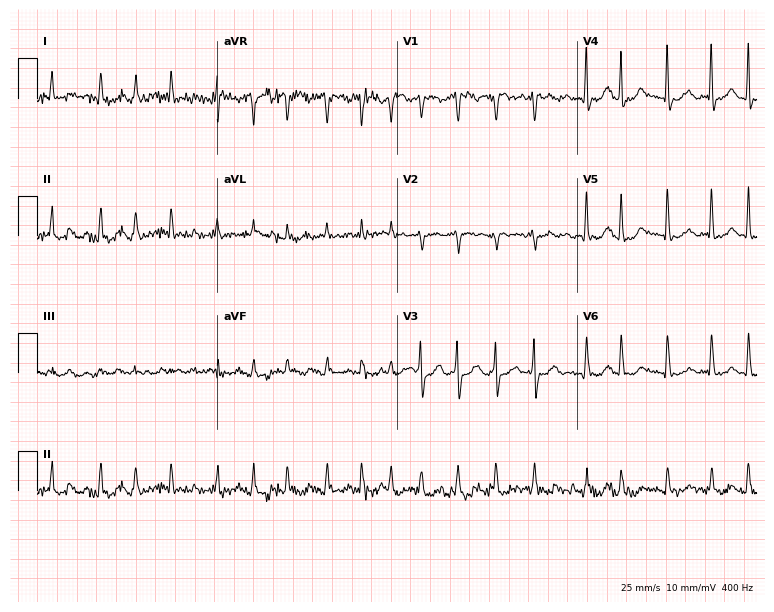
Standard 12-lead ECG recorded from a 68-year-old woman (7.3-second recording at 400 Hz). None of these six findings is recorded: first-degree AV block, right bundle branch block (RBBB), left bundle branch block (LBBB), sinus bradycardia, atrial fibrillation (AF), sinus tachycardia.